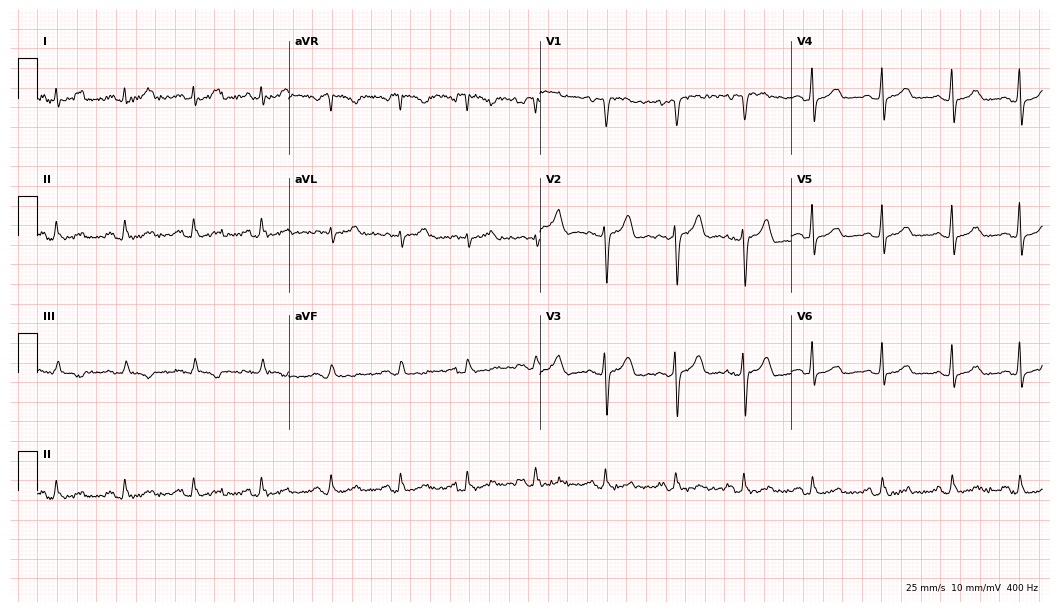
ECG — a woman, 52 years old. Screened for six findings — first-degree AV block, right bundle branch block (RBBB), left bundle branch block (LBBB), sinus bradycardia, atrial fibrillation (AF), sinus tachycardia — none is recorded.